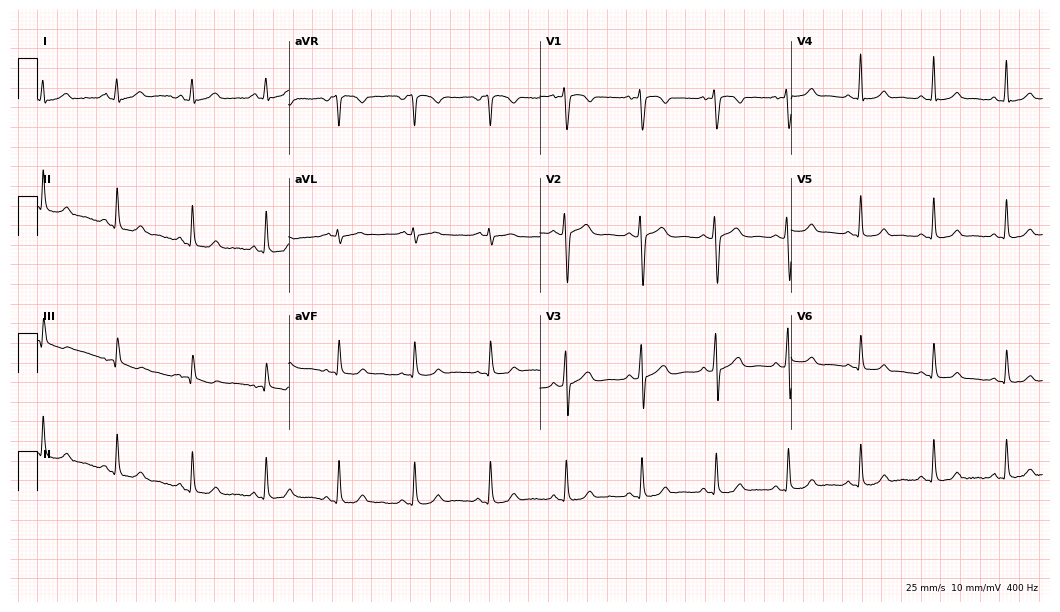
Electrocardiogram (10.2-second recording at 400 Hz), a female, 20 years old. Overall reading on record: normal ECG.